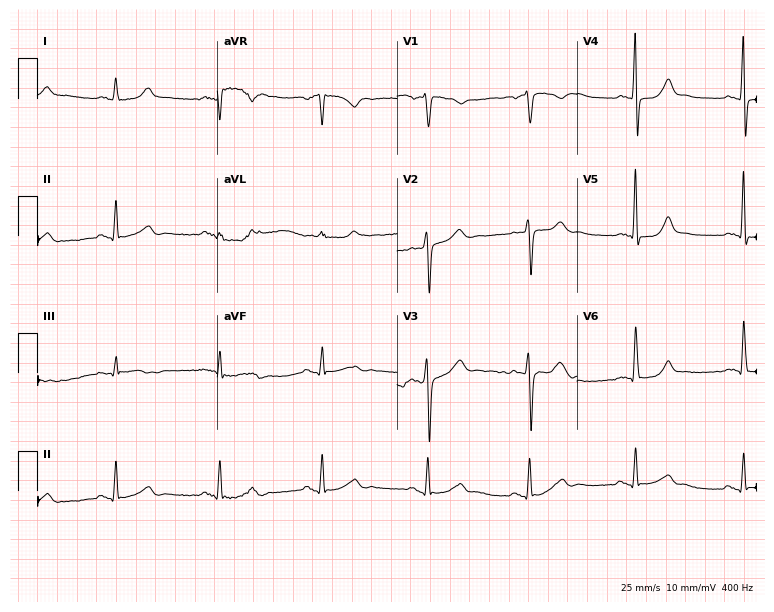
Resting 12-lead electrocardiogram (7.3-second recording at 400 Hz). Patient: a male, 60 years old. None of these six findings is recorded: first-degree AV block, right bundle branch block, left bundle branch block, sinus bradycardia, atrial fibrillation, sinus tachycardia. Findings outside these six are not listed.